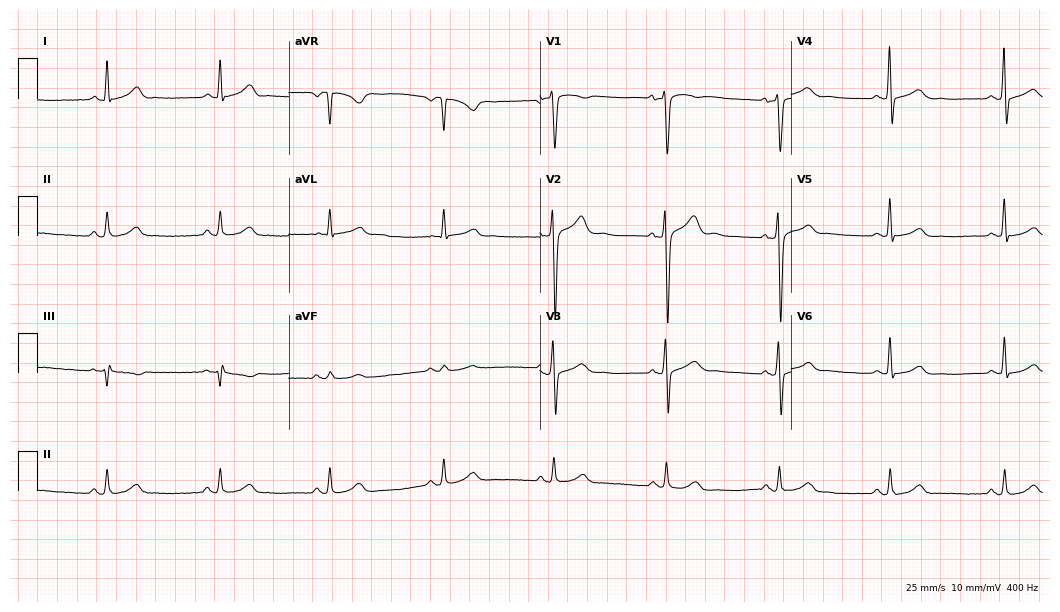
Electrocardiogram (10.2-second recording at 400 Hz), a male, 52 years old. Overall reading on record: normal ECG.